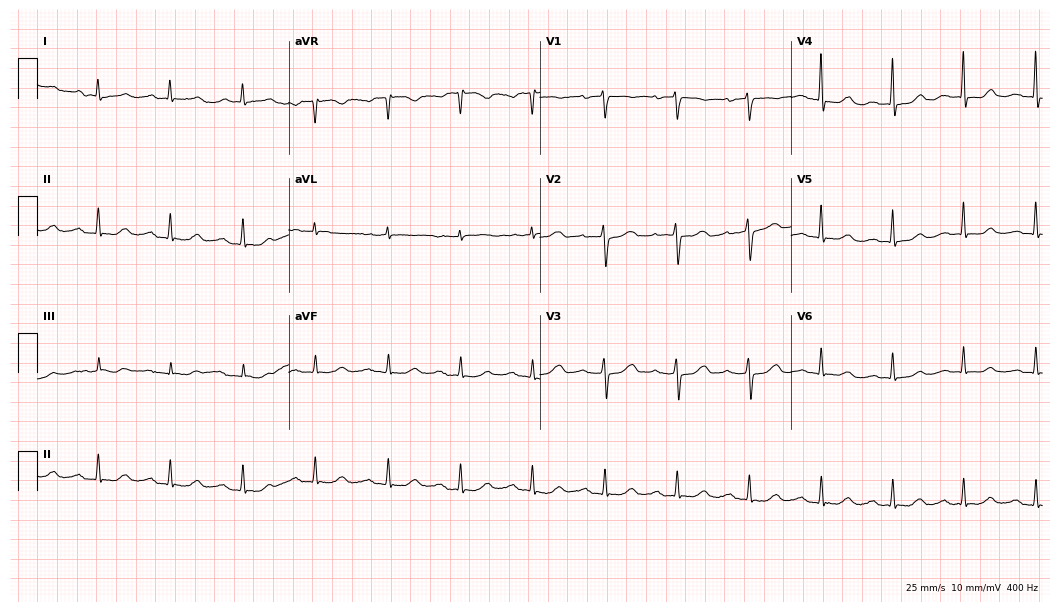
Electrocardiogram (10.2-second recording at 400 Hz), a 74-year-old female patient. Interpretation includes first-degree AV block.